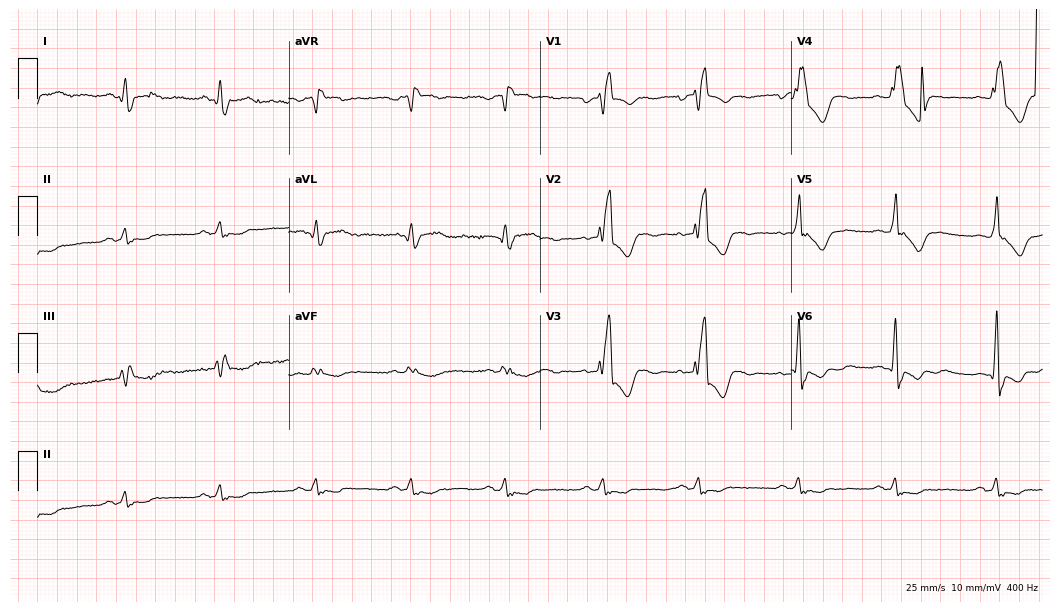
12-lead ECG (10.2-second recording at 400 Hz) from a 69-year-old man. Findings include right bundle branch block.